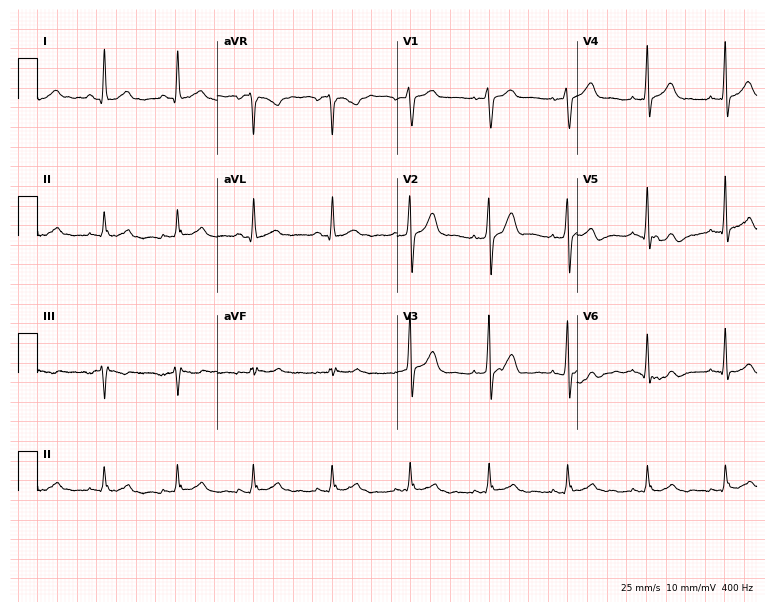
Electrocardiogram (7.3-second recording at 400 Hz), a male patient, 53 years old. Overall reading on record: normal ECG.